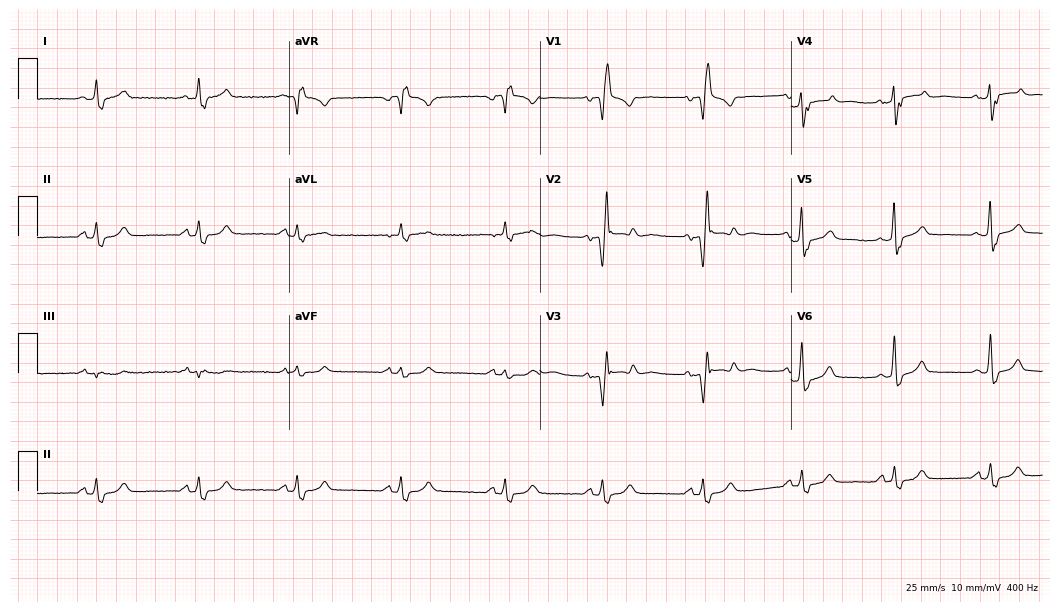
12-lead ECG (10.2-second recording at 400 Hz) from a male patient, 64 years old. Findings include right bundle branch block.